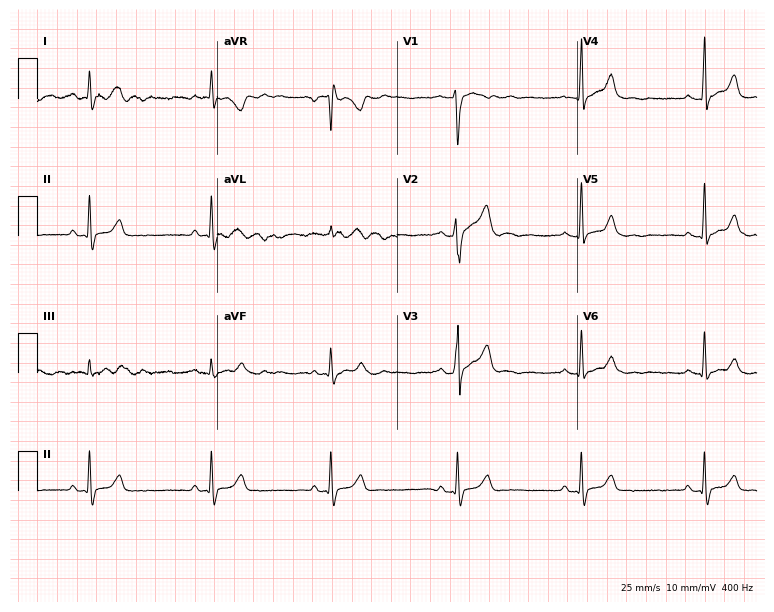
12-lead ECG from a man, 25 years old (7.3-second recording at 400 Hz). Shows sinus bradycardia (a sinus rate of 50 beats per minute or less).